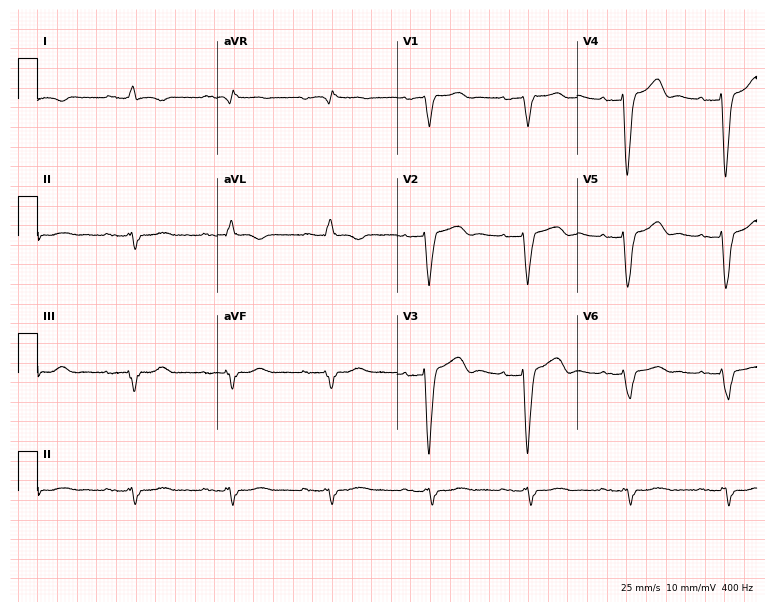
12-lead ECG from a female, 61 years old. Findings include first-degree AV block, left bundle branch block.